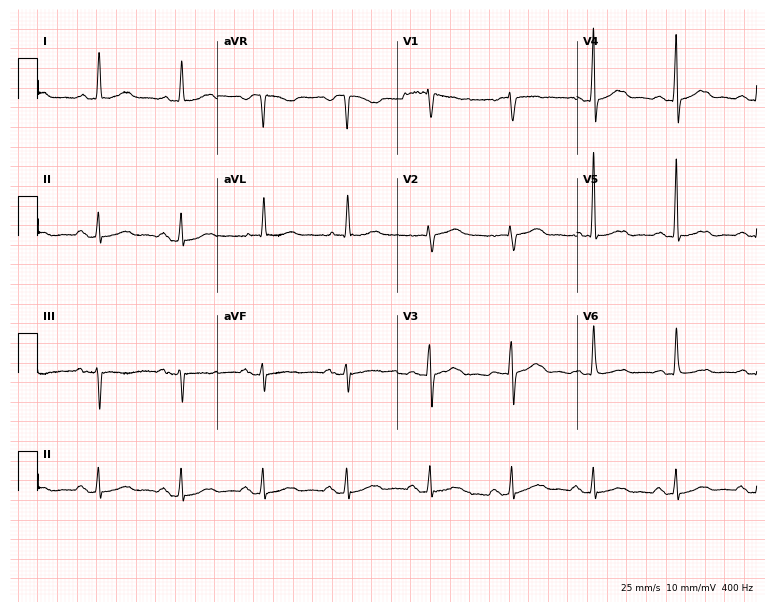
Resting 12-lead electrocardiogram (7.3-second recording at 400 Hz). Patient: a female, 18 years old. None of these six findings is recorded: first-degree AV block, right bundle branch block, left bundle branch block, sinus bradycardia, atrial fibrillation, sinus tachycardia. Other findings, if any, are not listed.